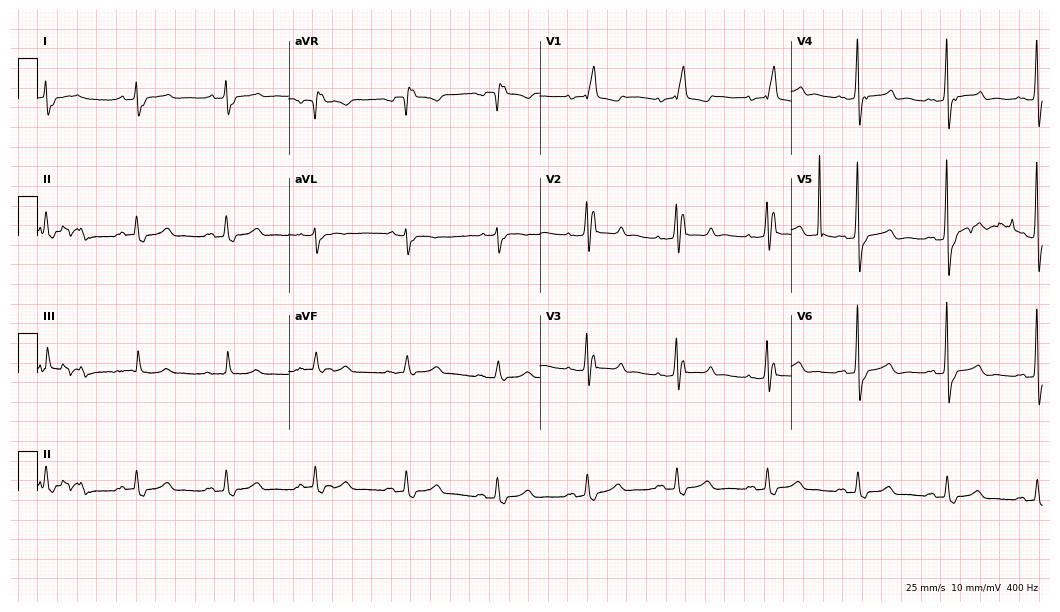
Electrocardiogram, a female patient aged 90 or older. Interpretation includes atrial fibrillation.